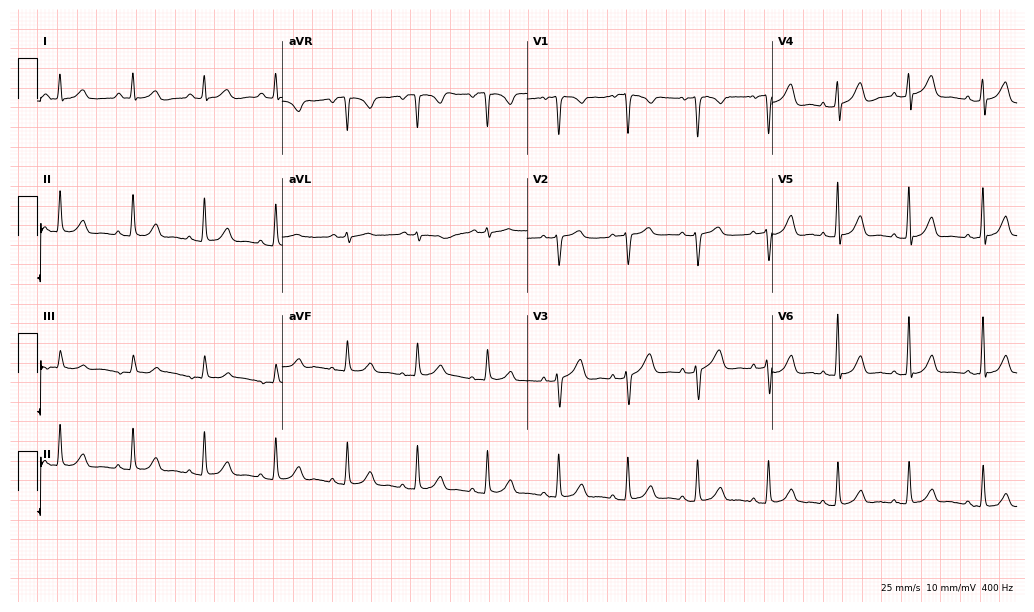
12-lead ECG from a 42-year-old woman. Labelled as a normal ECG.